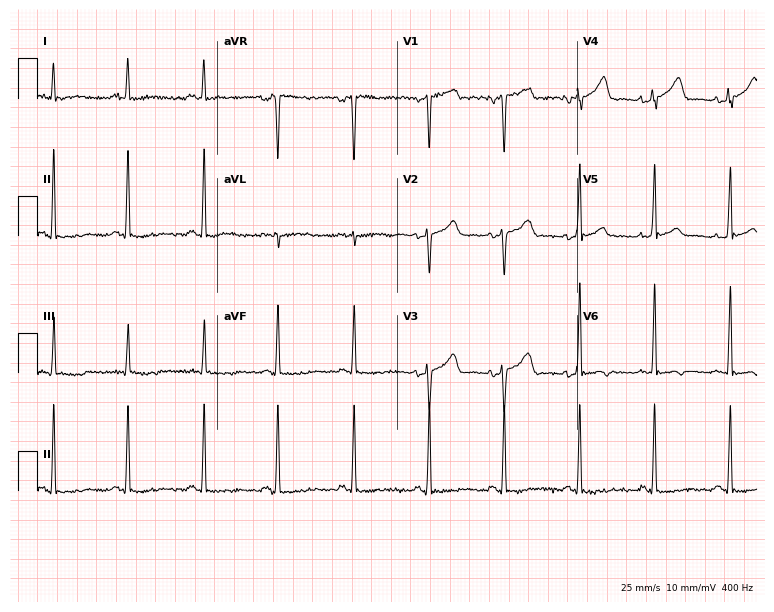
Standard 12-lead ECG recorded from a 38-year-old female patient. None of these six findings is recorded: first-degree AV block, right bundle branch block, left bundle branch block, sinus bradycardia, atrial fibrillation, sinus tachycardia. Other findings, if any, are not listed.